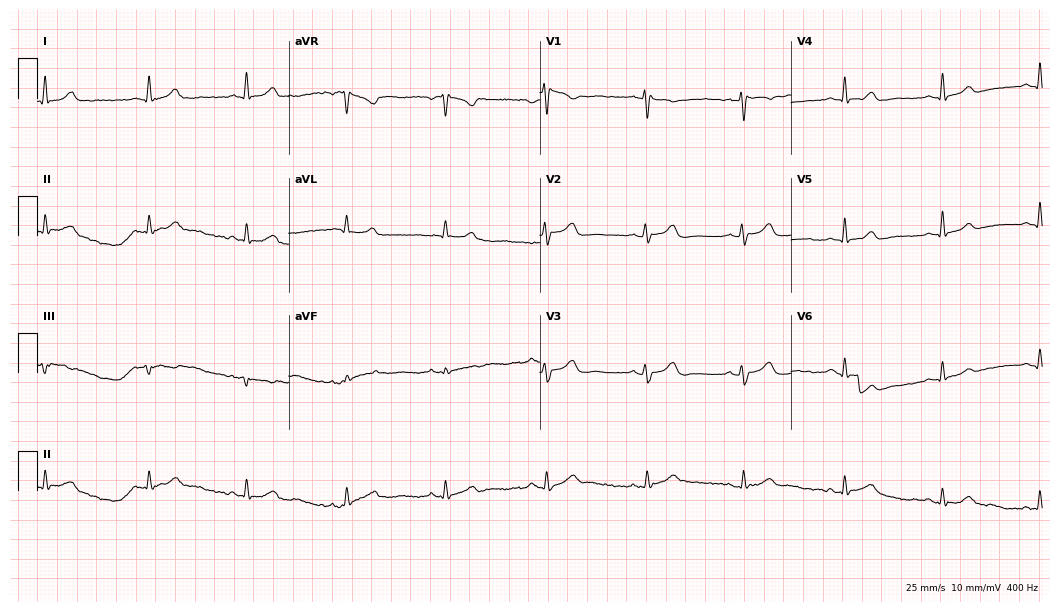
12-lead ECG from a 54-year-old woman. Labelled as a normal ECG.